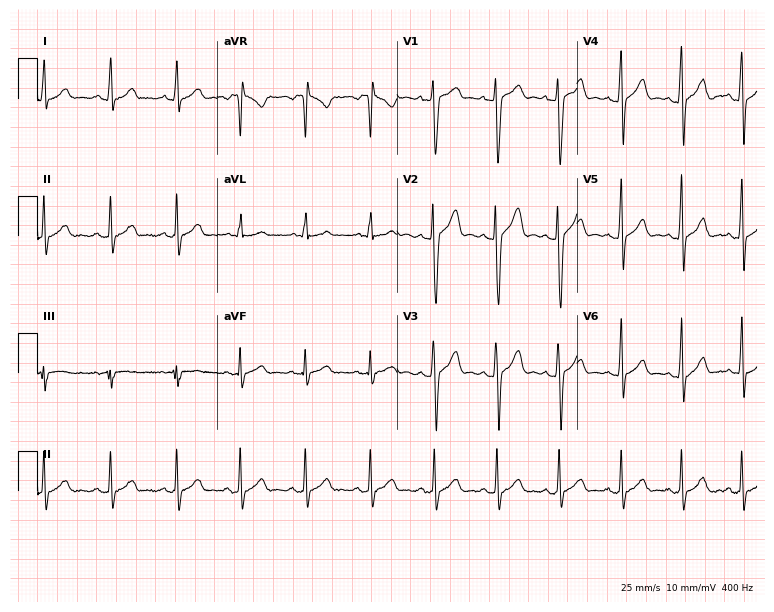
Standard 12-lead ECG recorded from an 18-year-old male (7.3-second recording at 400 Hz). Read as a normal ECG.